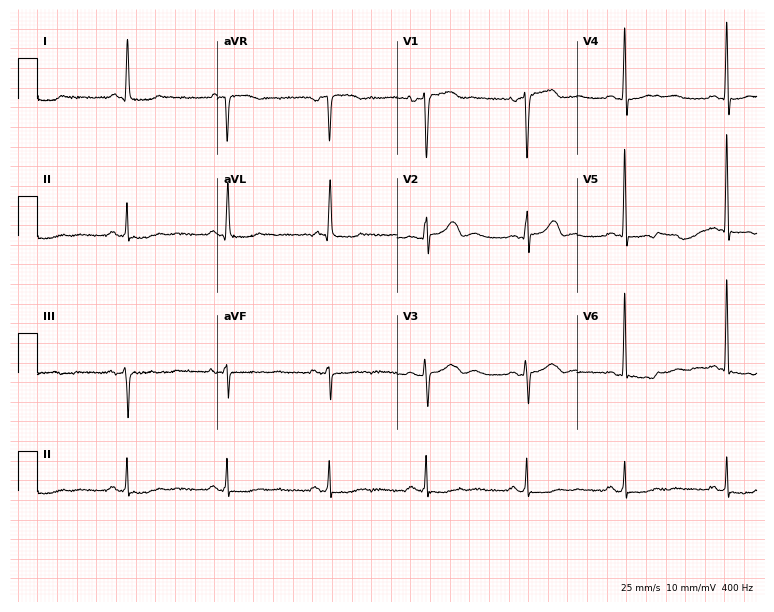
Standard 12-lead ECG recorded from a female, 58 years old. None of these six findings is recorded: first-degree AV block, right bundle branch block (RBBB), left bundle branch block (LBBB), sinus bradycardia, atrial fibrillation (AF), sinus tachycardia.